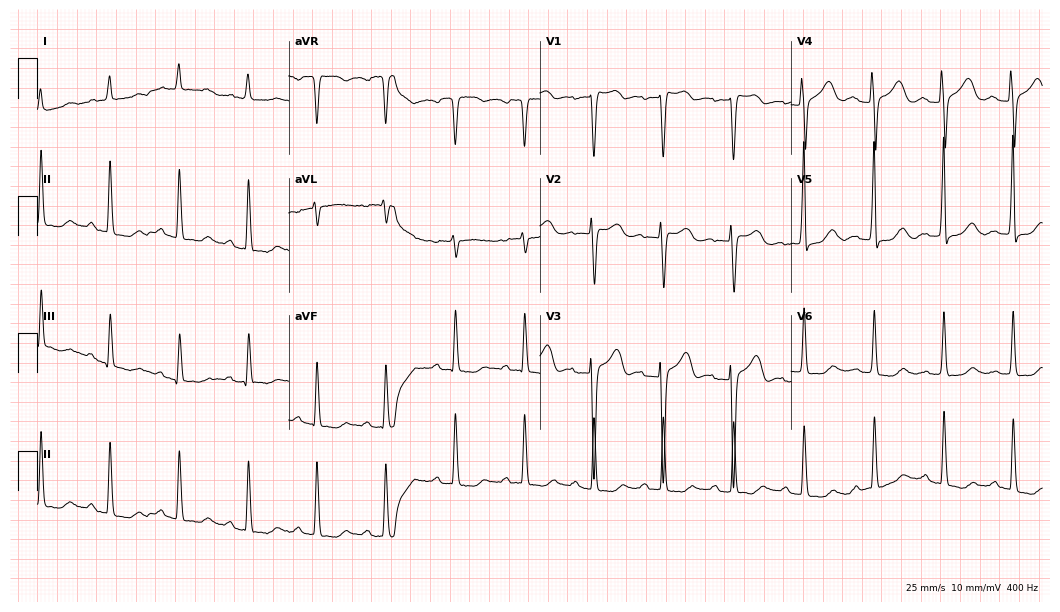
ECG — a 63-year-old woman. Labelled as a normal ECG.